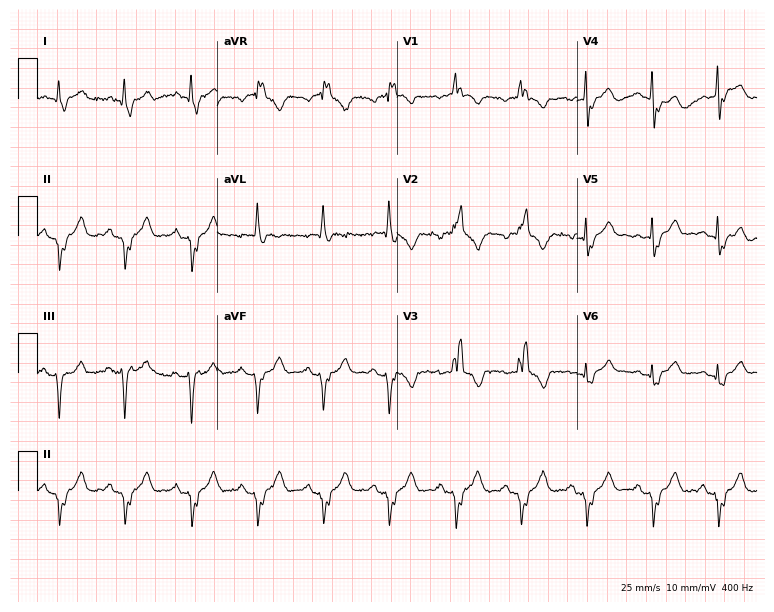
12-lead ECG (7.3-second recording at 400 Hz) from an 84-year-old male. Findings include right bundle branch block.